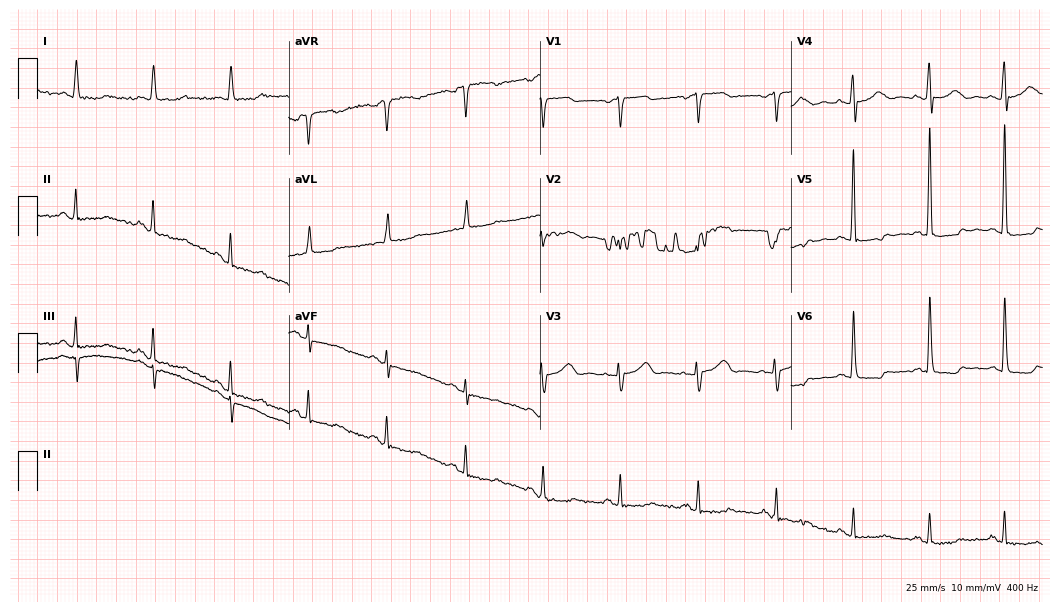
12-lead ECG (10.2-second recording at 400 Hz) from a 73-year-old female. Screened for six findings — first-degree AV block, right bundle branch block (RBBB), left bundle branch block (LBBB), sinus bradycardia, atrial fibrillation (AF), sinus tachycardia — none is recorded. Findings outside these six are not listed.